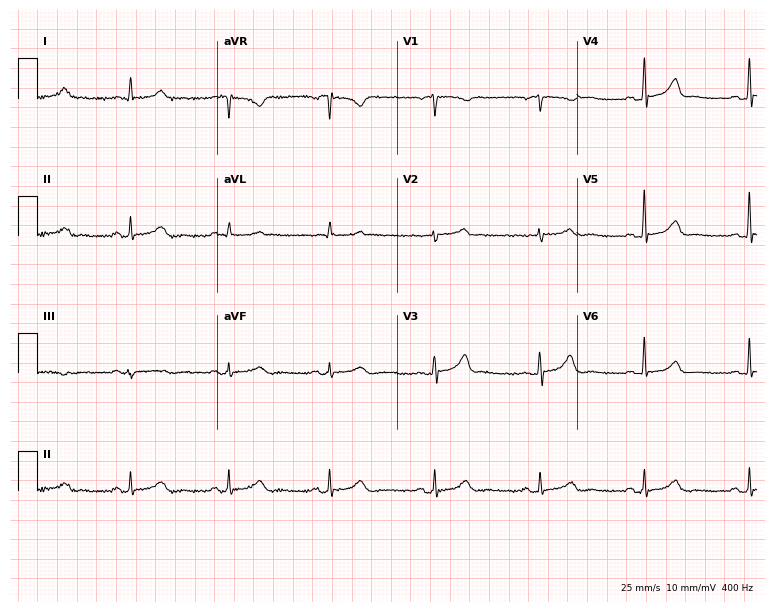
ECG — a female, 55 years old. Screened for six findings — first-degree AV block, right bundle branch block, left bundle branch block, sinus bradycardia, atrial fibrillation, sinus tachycardia — none is recorded.